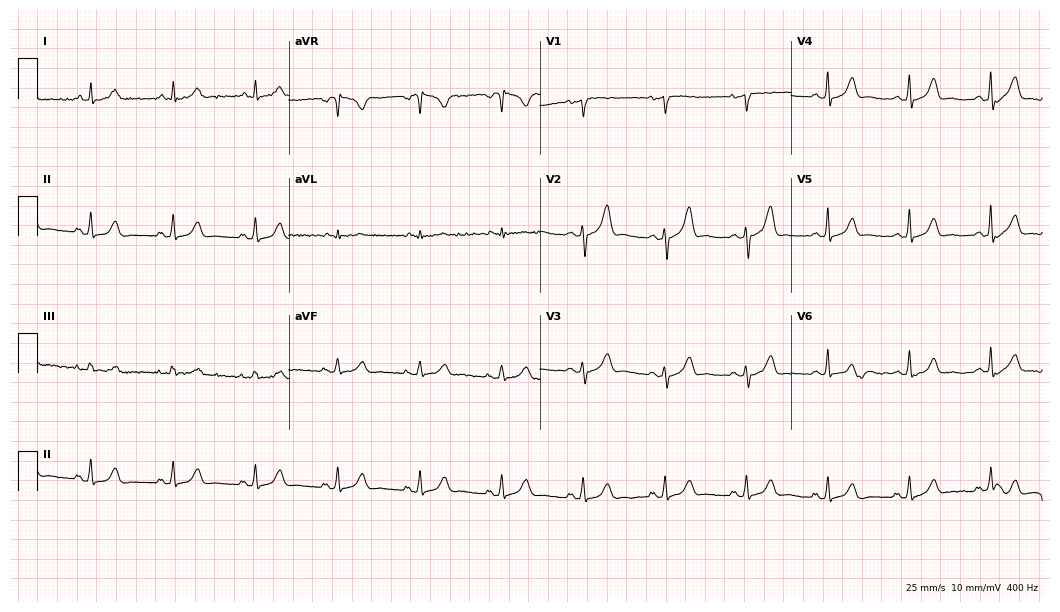
12-lead ECG from a 67-year-old female. Screened for six findings — first-degree AV block, right bundle branch block, left bundle branch block, sinus bradycardia, atrial fibrillation, sinus tachycardia — none is recorded. Only these six findings were labelled.